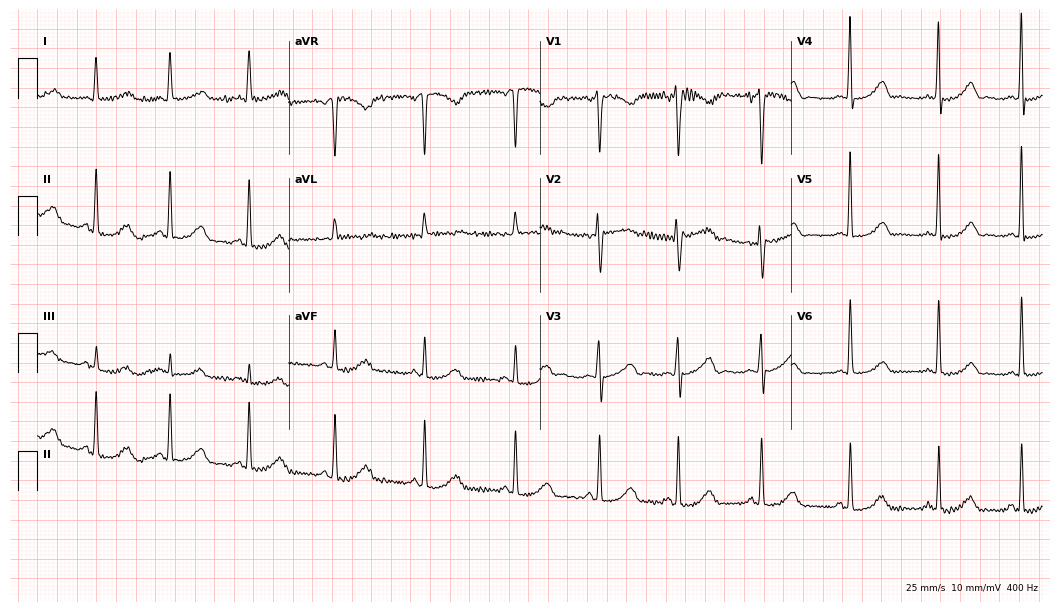
12-lead ECG from a 52-year-old female (10.2-second recording at 400 Hz). No first-degree AV block, right bundle branch block (RBBB), left bundle branch block (LBBB), sinus bradycardia, atrial fibrillation (AF) or sinus tachycardia recorded for this tracing.